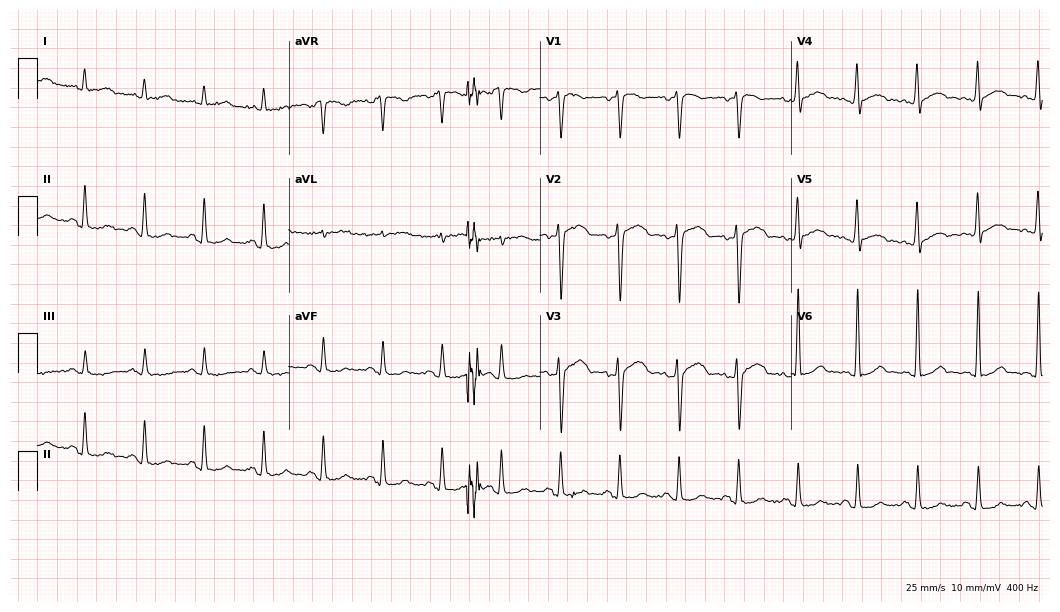
Standard 12-lead ECG recorded from a 42-year-old male patient. Read as a normal ECG.